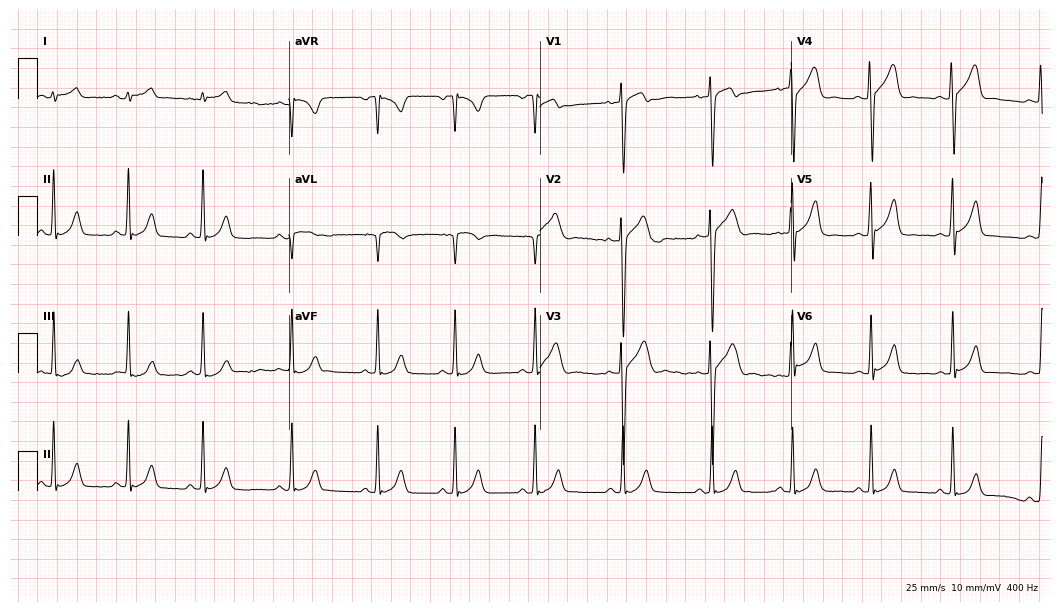
Resting 12-lead electrocardiogram (10.2-second recording at 400 Hz). Patient: a 20-year-old man. Read as a normal ECG.